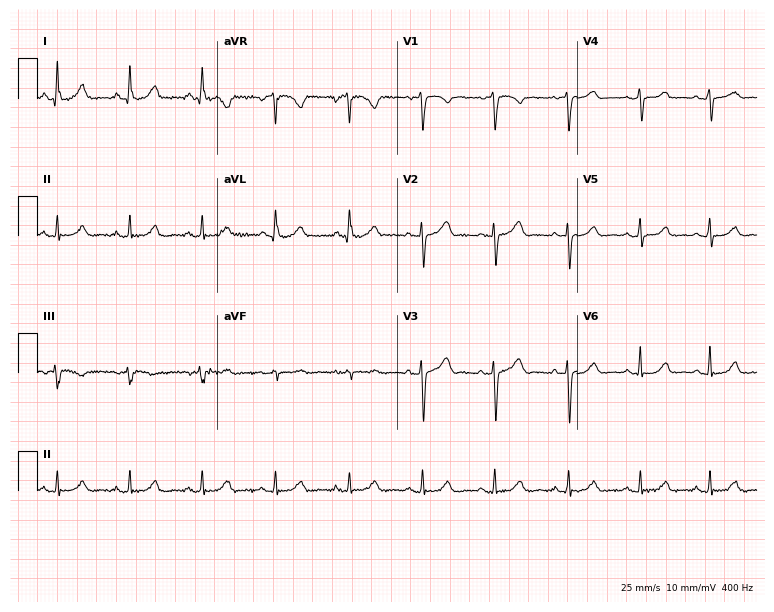
Resting 12-lead electrocardiogram (7.3-second recording at 400 Hz). Patient: a 43-year-old woman. Read as a normal ECG.